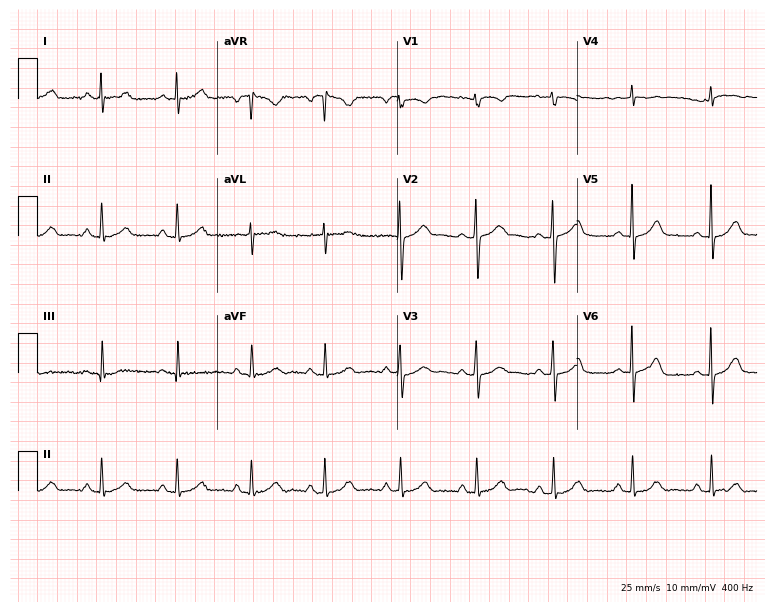
12-lead ECG (7.3-second recording at 400 Hz) from a 44-year-old female patient. Labelled as a normal ECG.